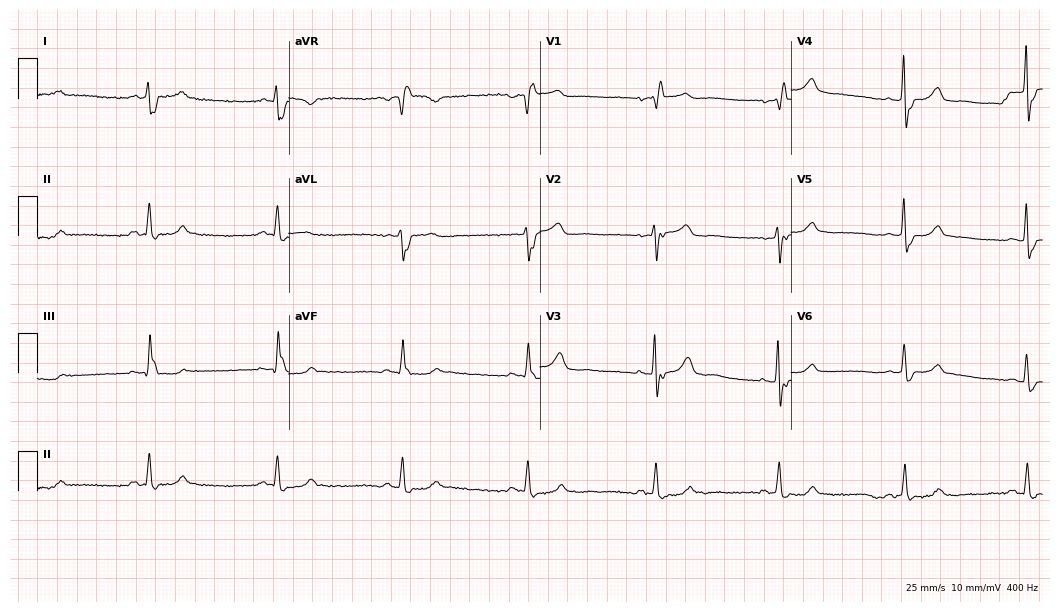
ECG (10.2-second recording at 400 Hz) — a female patient, 63 years old. Findings include right bundle branch block (RBBB), sinus bradycardia (a sinus rate of 50 beats per minute or less).